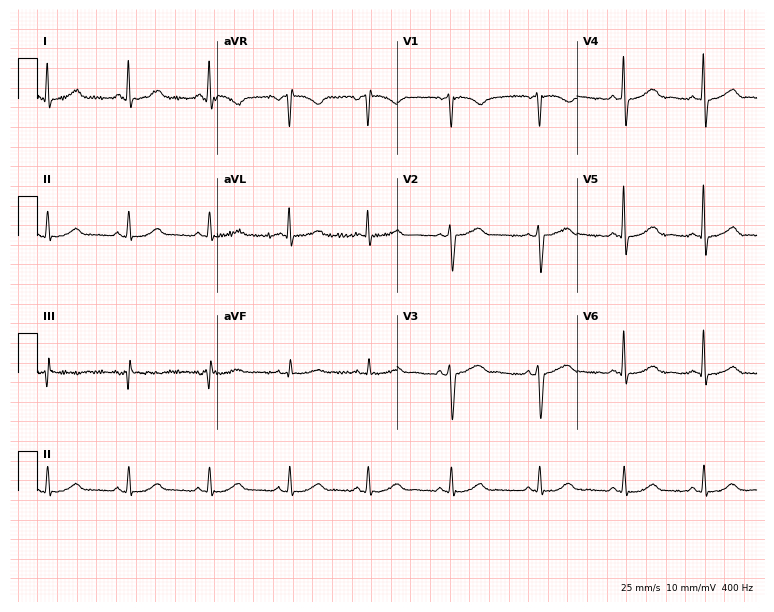
ECG (7.3-second recording at 400 Hz) — a female patient, 44 years old. Labelled as a normal ECG.